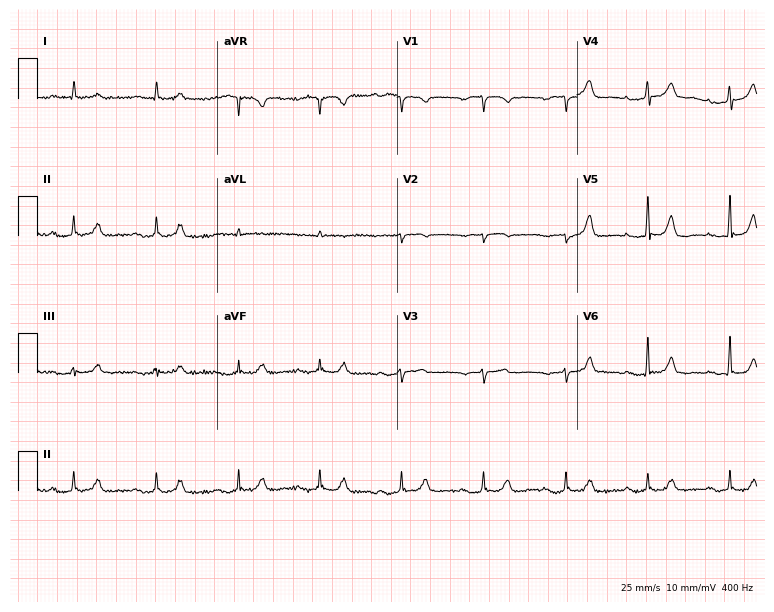
12-lead ECG from an 84-year-old female (7.3-second recording at 400 Hz). Shows first-degree AV block.